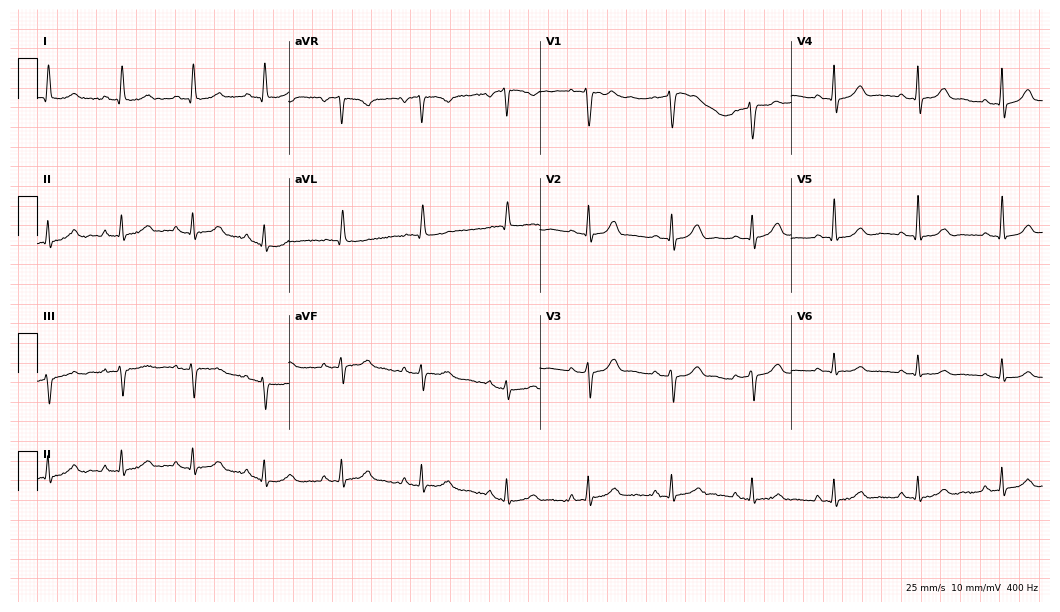
Standard 12-lead ECG recorded from a 61-year-old female patient (10.2-second recording at 400 Hz). Read as a normal ECG.